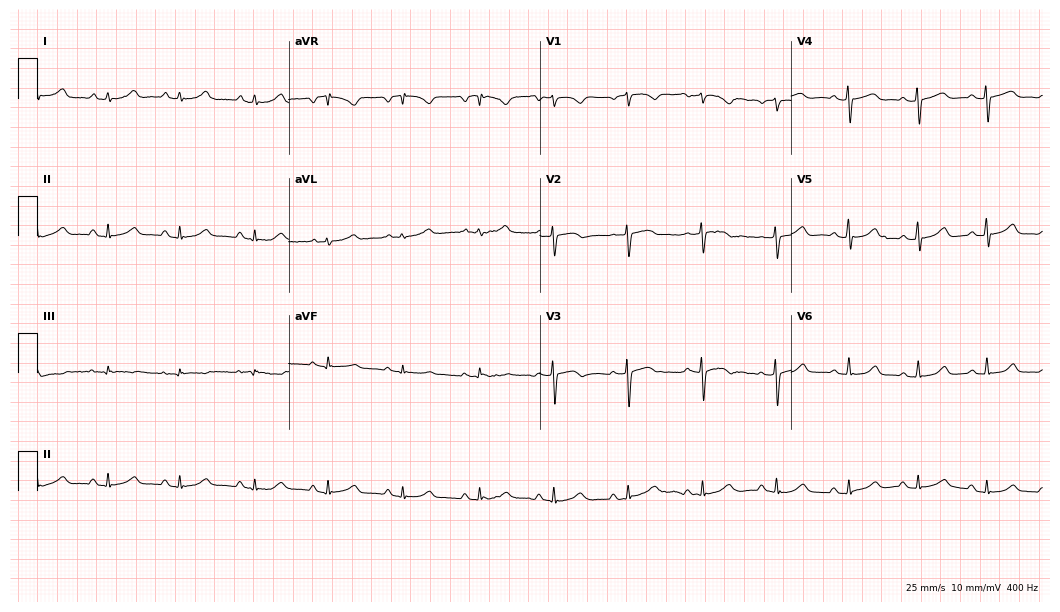
12-lead ECG (10.2-second recording at 400 Hz) from a woman, 69 years old. Labelled as a normal ECG.